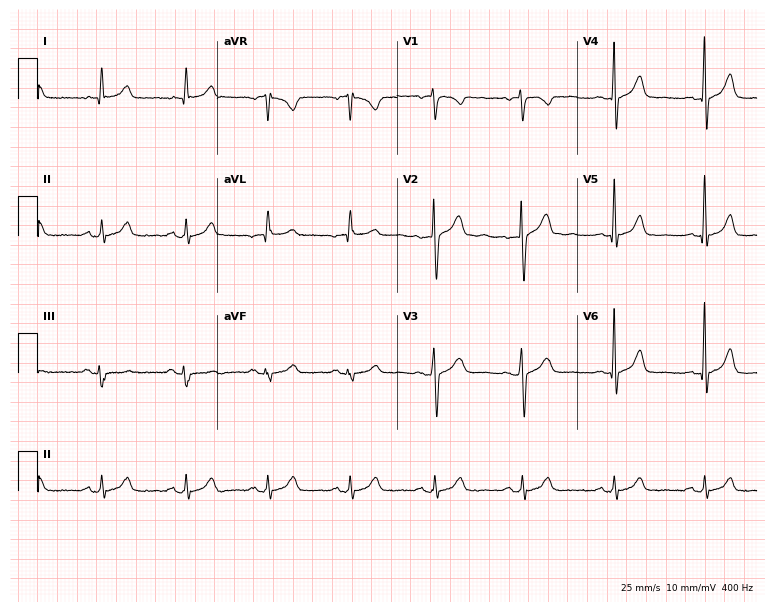
12-lead ECG (7.3-second recording at 400 Hz) from a man, 60 years old. Labelled as a normal ECG.